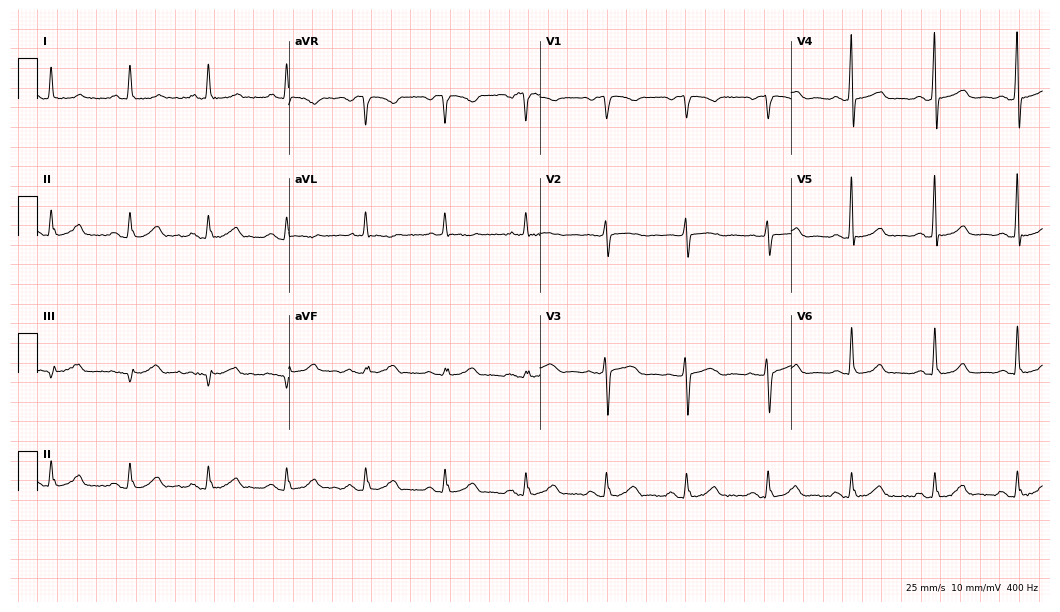
Resting 12-lead electrocardiogram (10.2-second recording at 400 Hz). Patient: a female, 63 years old. None of these six findings is recorded: first-degree AV block, right bundle branch block, left bundle branch block, sinus bradycardia, atrial fibrillation, sinus tachycardia.